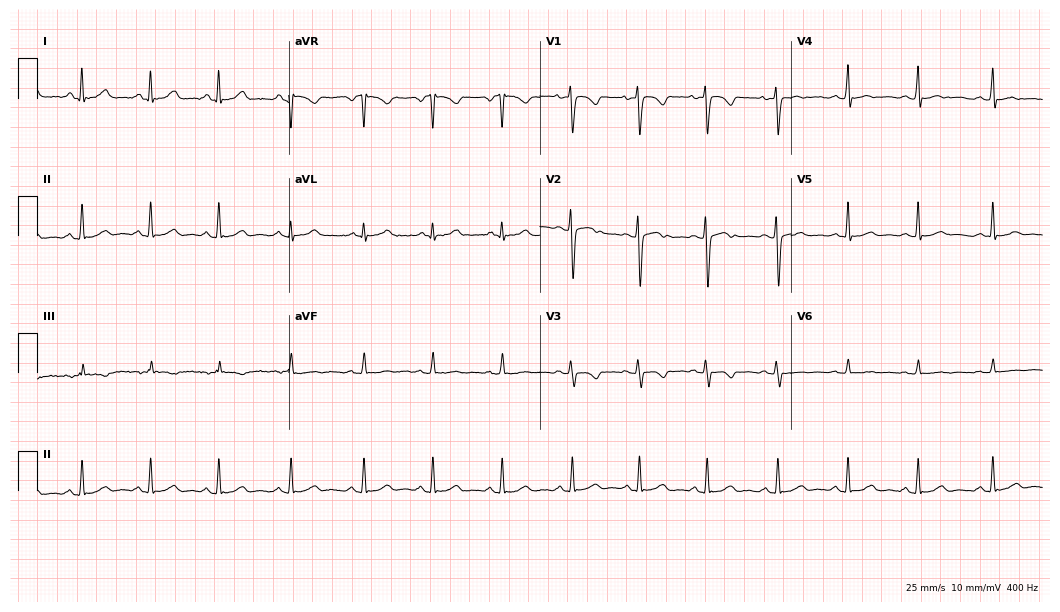
Resting 12-lead electrocardiogram. Patient: a 24-year-old female. None of these six findings is recorded: first-degree AV block, right bundle branch block, left bundle branch block, sinus bradycardia, atrial fibrillation, sinus tachycardia. Findings outside these six are not listed.